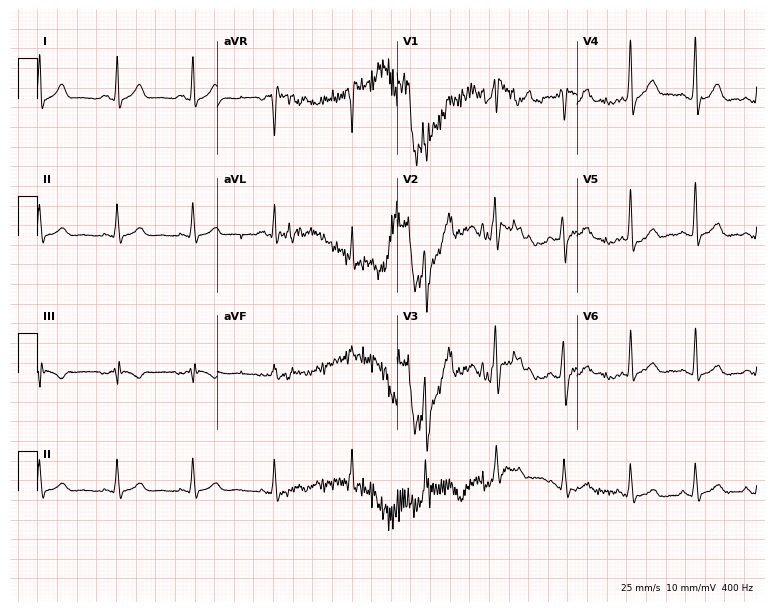
12-lead ECG from a male patient, 26 years old. Recorded interpretation: within normal limits.